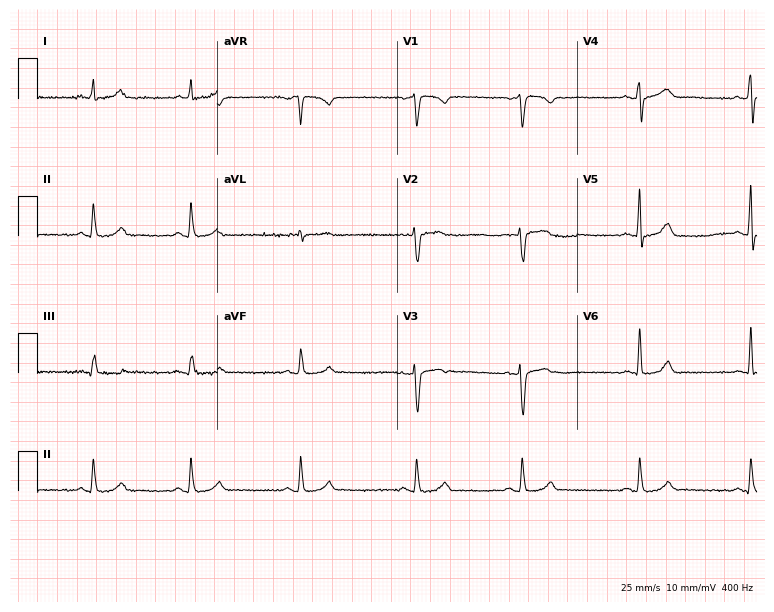
Standard 12-lead ECG recorded from a 46-year-old woman (7.3-second recording at 400 Hz). Read as a normal ECG.